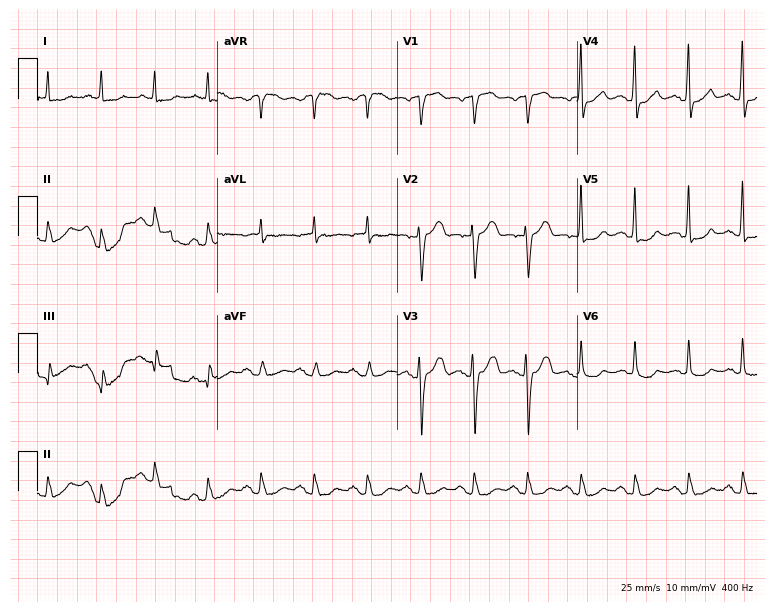
ECG (7.3-second recording at 400 Hz) — a male patient, 77 years old. Findings include sinus tachycardia (a sinus rate of 100 beats per minute or more).